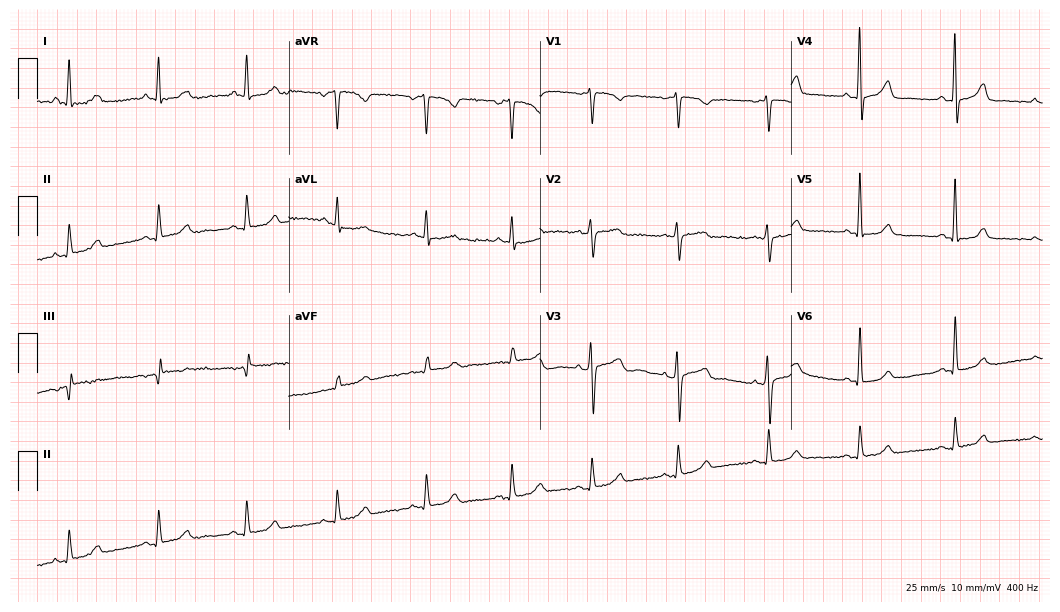
Electrocardiogram (10.2-second recording at 400 Hz), a female, 58 years old. Of the six screened findings (first-degree AV block, right bundle branch block, left bundle branch block, sinus bradycardia, atrial fibrillation, sinus tachycardia), none is recorded. Only these six findings were labelled.